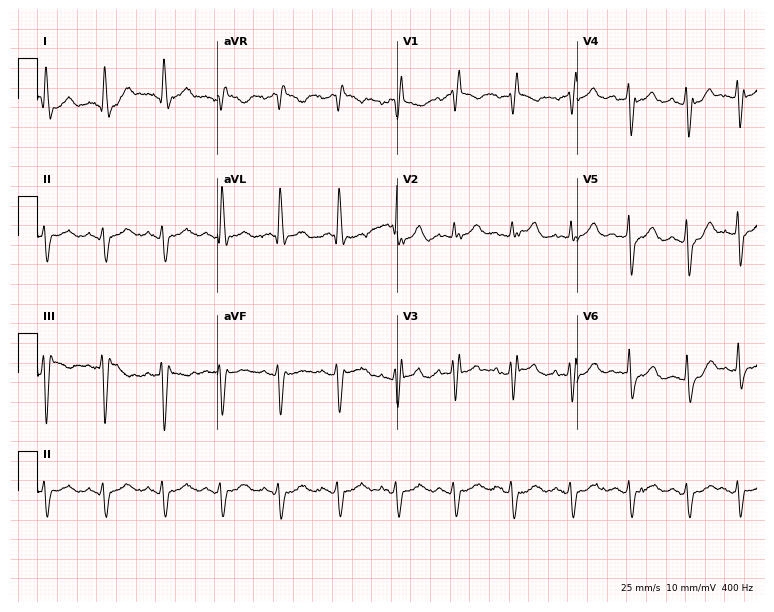
Electrocardiogram, a male, 78 years old. Interpretation includes right bundle branch block (RBBB), sinus tachycardia (a sinus rate of 100 beats per minute or more).